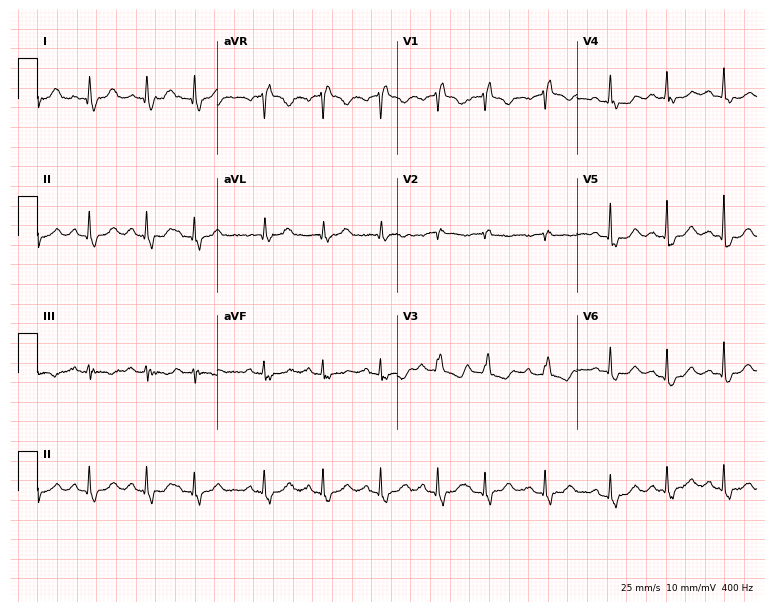
ECG — a 74-year-old female. Screened for six findings — first-degree AV block, right bundle branch block, left bundle branch block, sinus bradycardia, atrial fibrillation, sinus tachycardia — none is recorded. Other findings, if any, are not listed.